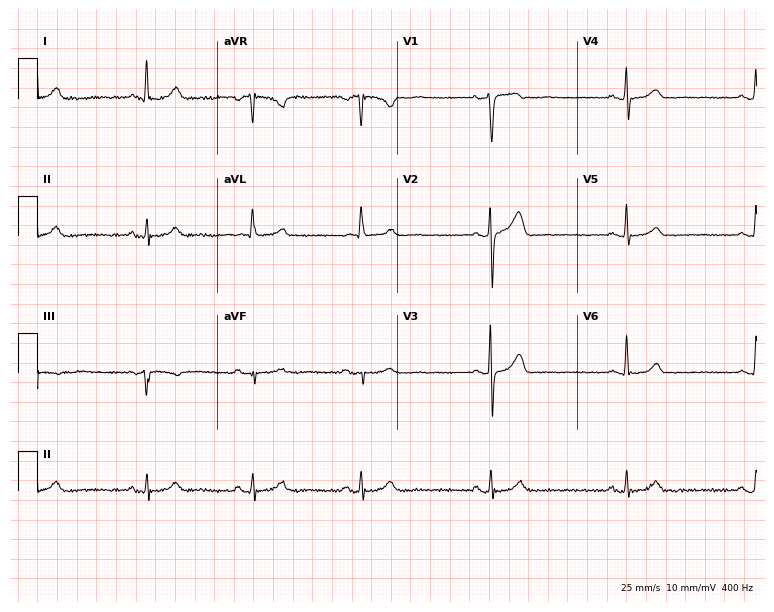
Standard 12-lead ECG recorded from a 67-year-old female patient (7.3-second recording at 400 Hz). Read as a normal ECG.